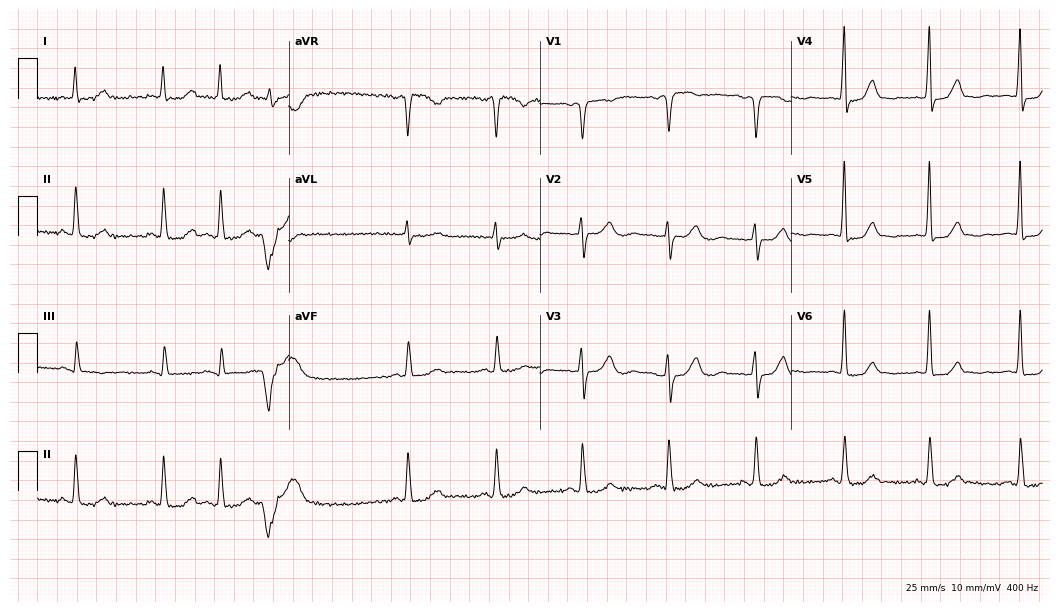
Electrocardiogram (10.2-second recording at 400 Hz), a 73-year-old woman. Of the six screened findings (first-degree AV block, right bundle branch block, left bundle branch block, sinus bradycardia, atrial fibrillation, sinus tachycardia), none is recorded.